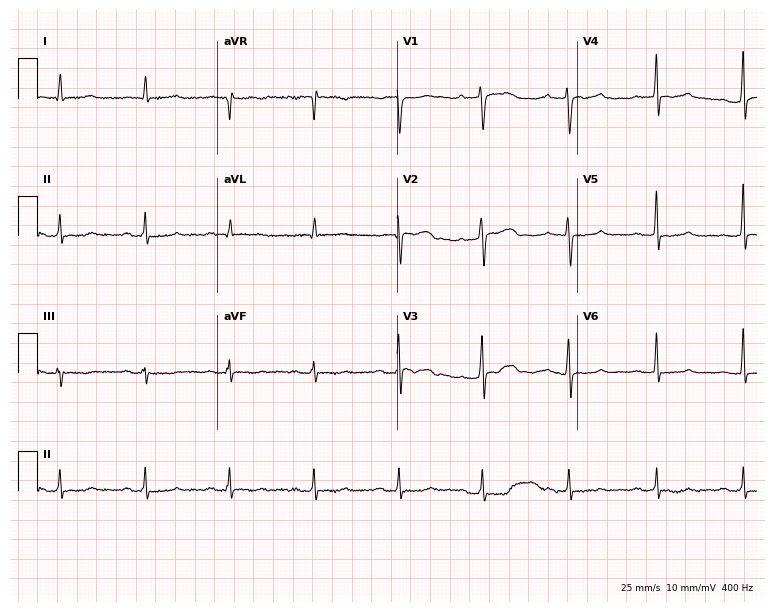
12-lead ECG from a 57-year-old woman. No first-degree AV block, right bundle branch block, left bundle branch block, sinus bradycardia, atrial fibrillation or sinus tachycardia recorded for this tracing.